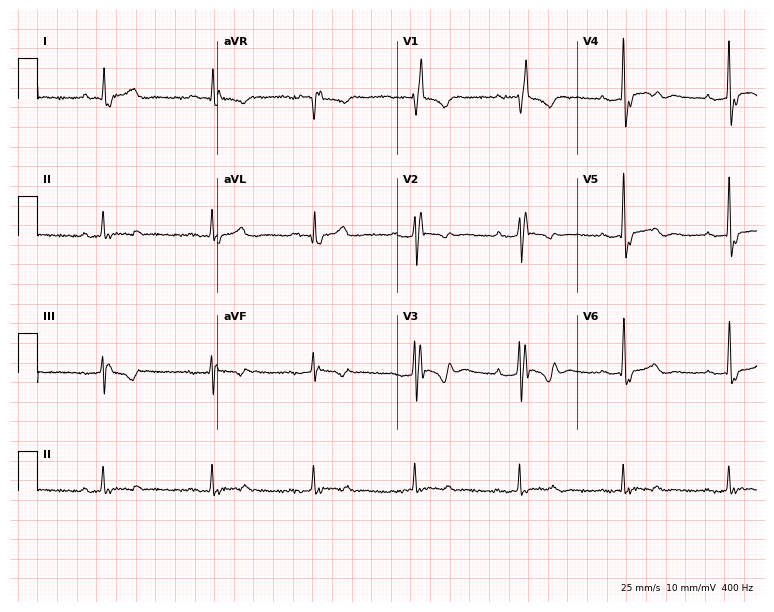
Standard 12-lead ECG recorded from a 75-year-old male patient (7.3-second recording at 400 Hz). None of these six findings is recorded: first-degree AV block, right bundle branch block, left bundle branch block, sinus bradycardia, atrial fibrillation, sinus tachycardia. Only these six findings were labelled.